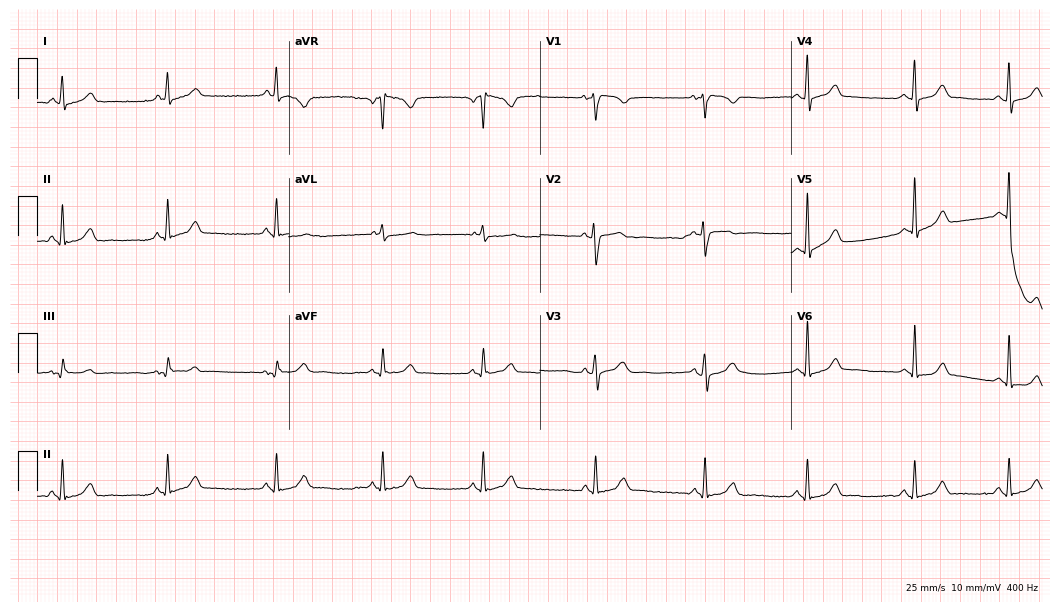
Standard 12-lead ECG recorded from a 23-year-old female (10.2-second recording at 400 Hz). Read as a normal ECG.